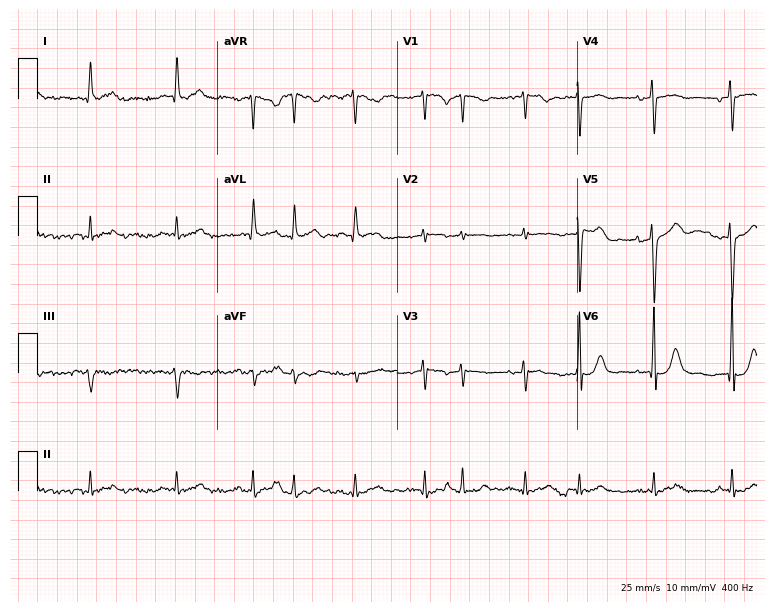
12-lead ECG from an 80-year-old female (7.3-second recording at 400 Hz). No first-degree AV block, right bundle branch block, left bundle branch block, sinus bradycardia, atrial fibrillation or sinus tachycardia recorded for this tracing.